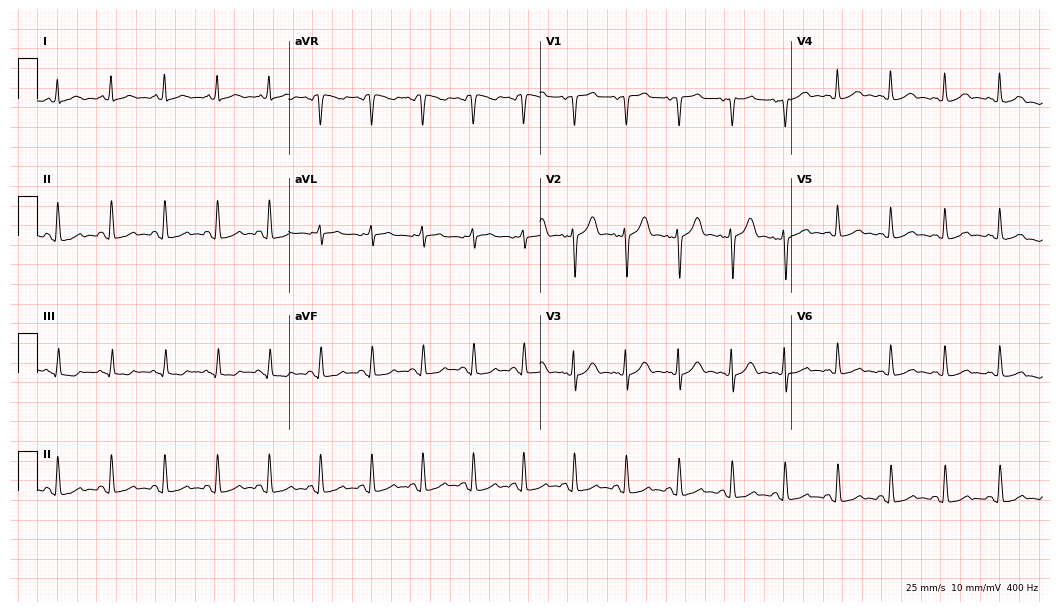
12-lead ECG from a 32-year-old female (10.2-second recording at 400 Hz). Shows sinus tachycardia (a sinus rate of 100 beats per minute or more).